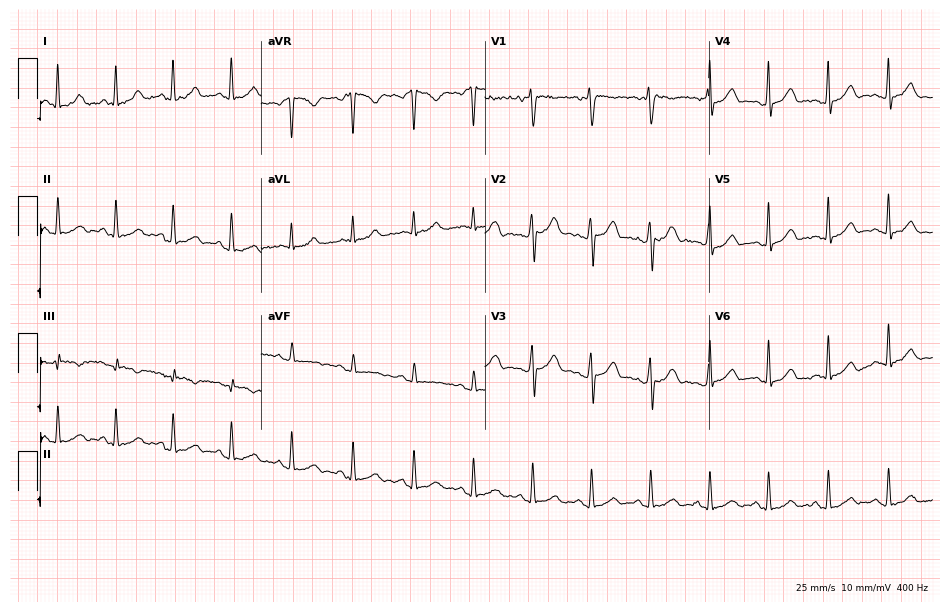
Electrocardiogram, a man, 24 years old. Of the six screened findings (first-degree AV block, right bundle branch block (RBBB), left bundle branch block (LBBB), sinus bradycardia, atrial fibrillation (AF), sinus tachycardia), none is recorded.